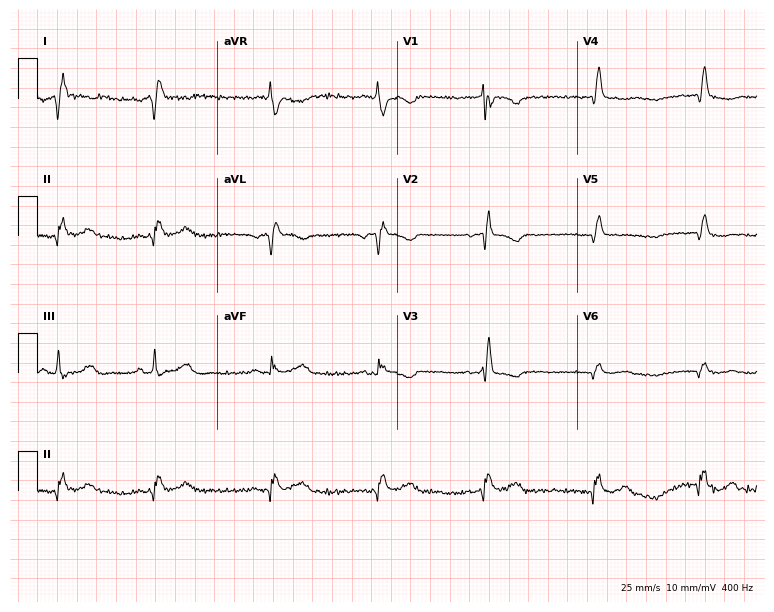
Resting 12-lead electrocardiogram. Patient: a 62-year-old female. None of these six findings is recorded: first-degree AV block, right bundle branch block, left bundle branch block, sinus bradycardia, atrial fibrillation, sinus tachycardia.